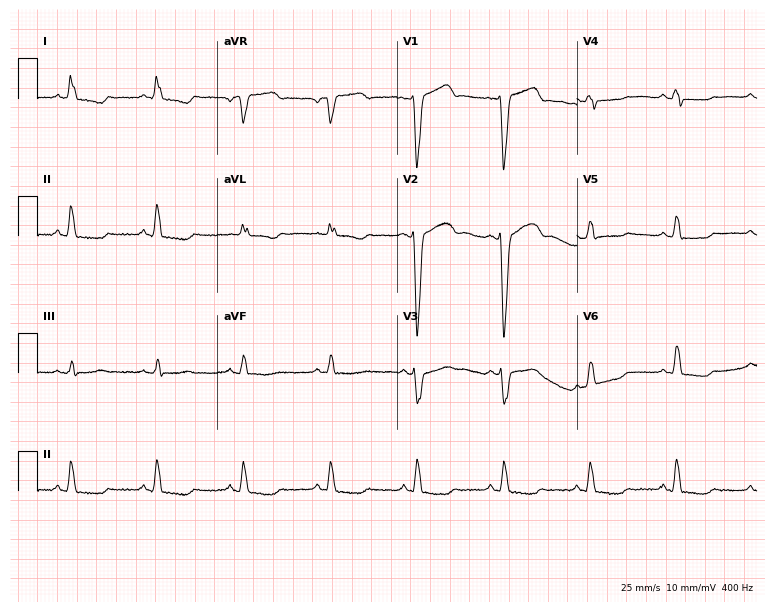
ECG (7.3-second recording at 400 Hz) — a 77-year-old female patient. Findings include left bundle branch block (LBBB).